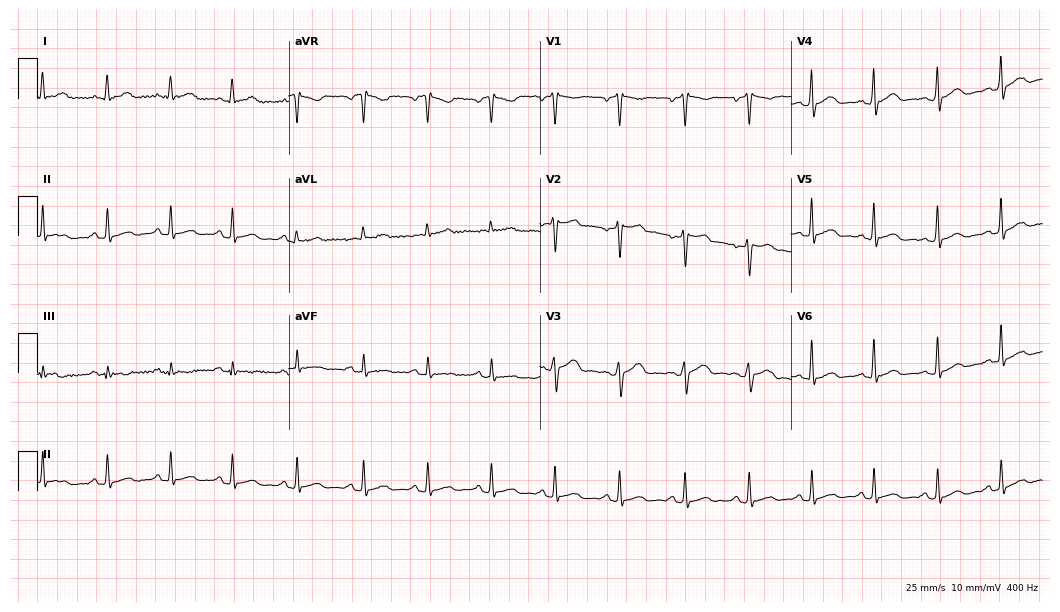
ECG — a man, 30 years old. Labelled as a normal ECG.